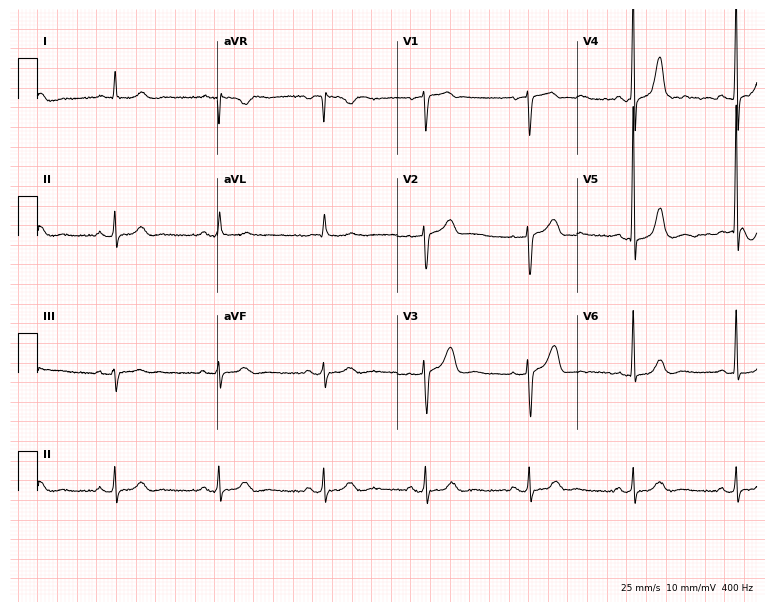
12-lead ECG from a female patient, 77 years old. Labelled as a normal ECG.